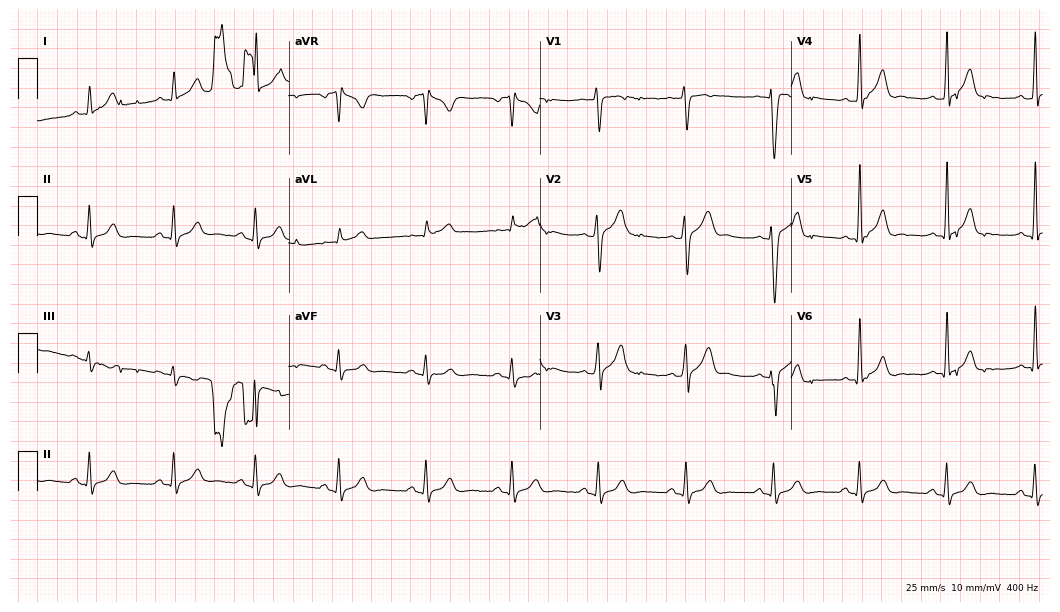
12-lead ECG from a male patient, 30 years old. Labelled as a normal ECG.